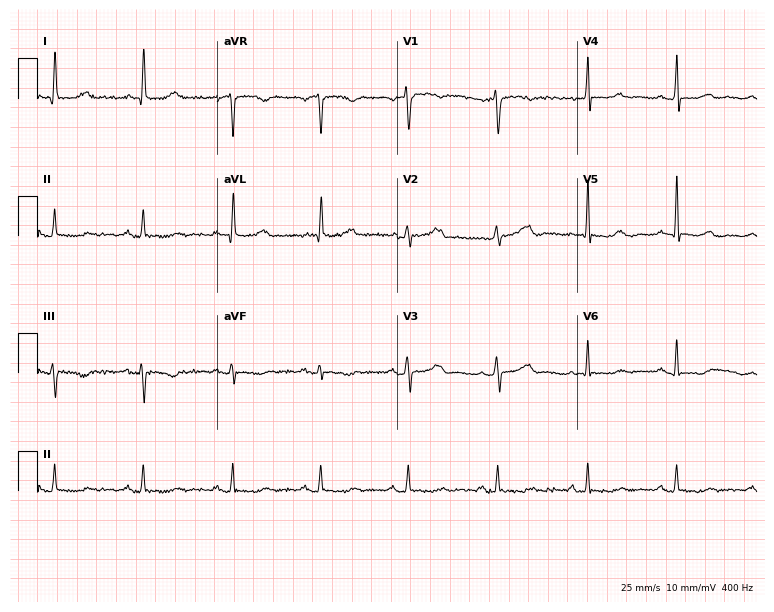
12-lead ECG from a female, 65 years old (7.3-second recording at 400 Hz). Recorded interpretation: within normal limits.